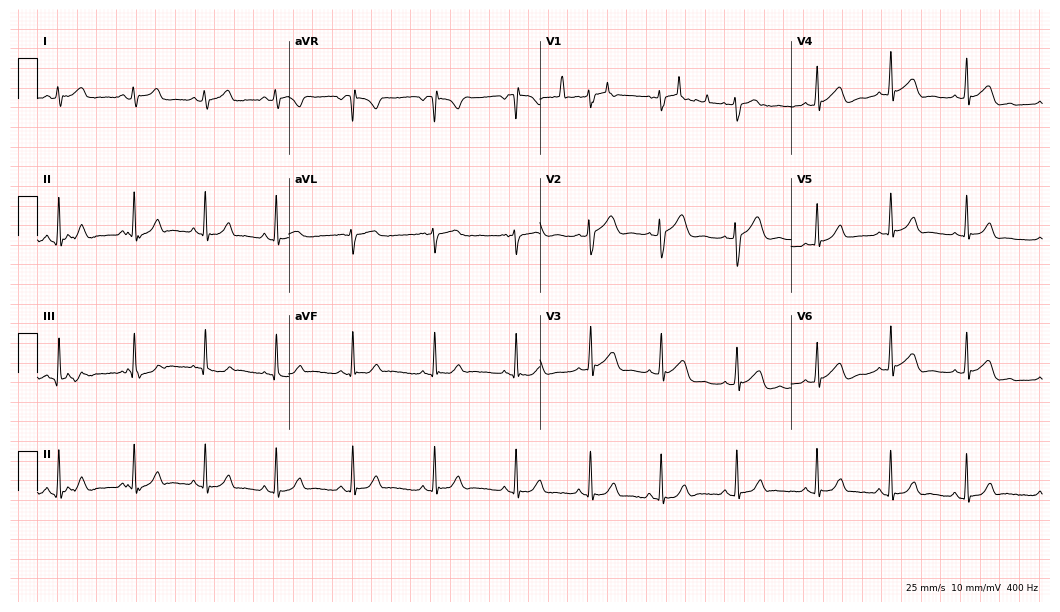
Standard 12-lead ECG recorded from a female patient, 17 years old. Read as a normal ECG.